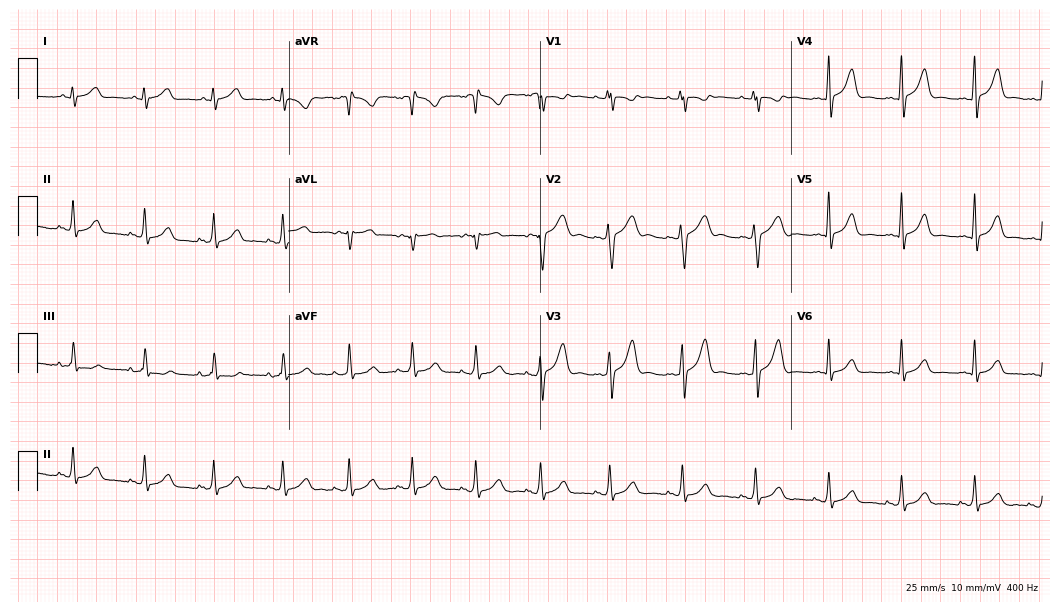
Electrocardiogram (10.2-second recording at 400 Hz), a woman, 21 years old. Overall reading on record: normal ECG.